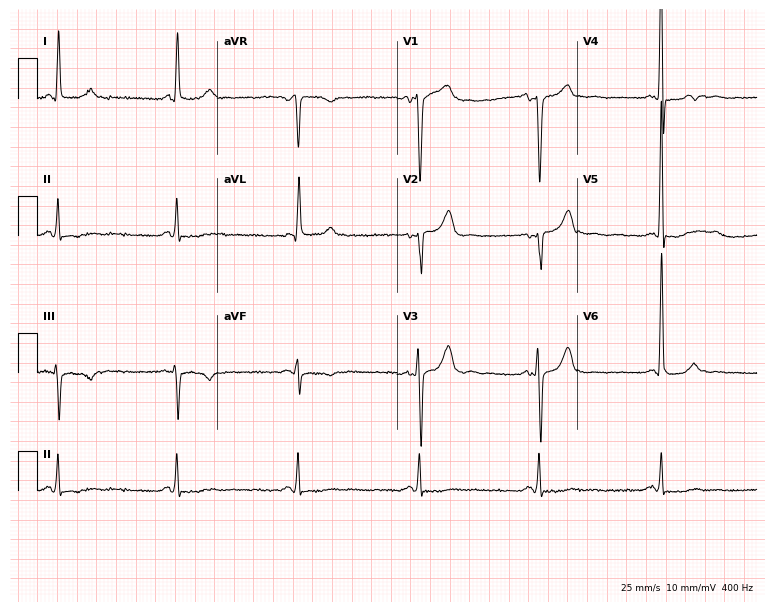
12-lead ECG from a male patient, 71 years old. Shows sinus bradycardia (a sinus rate of 50 beats per minute or less).